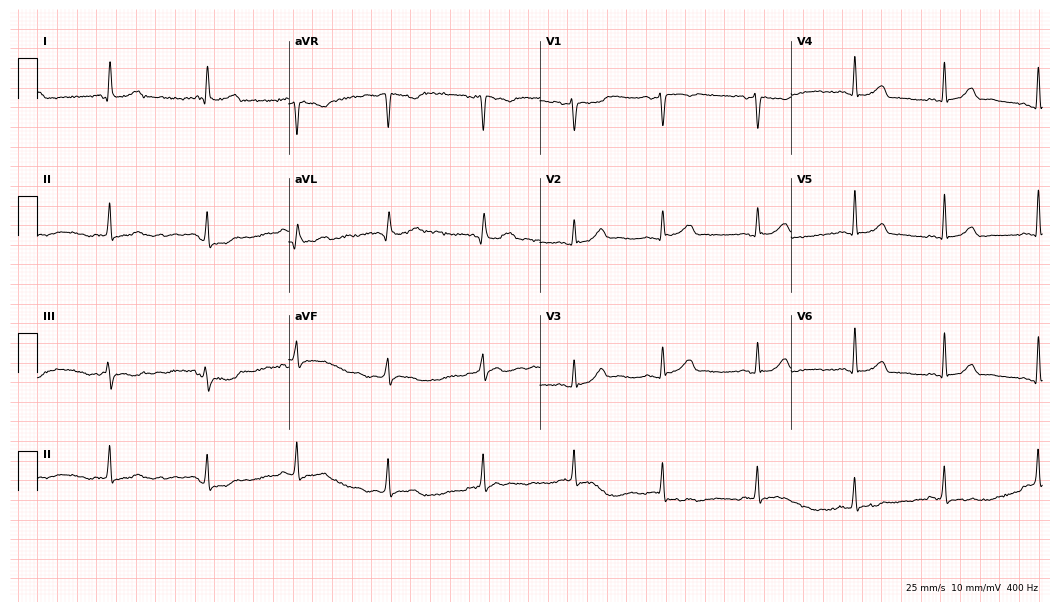
Standard 12-lead ECG recorded from a 36-year-old female patient. None of these six findings is recorded: first-degree AV block, right bundle branch block, left bundle branch block, sinus bradycardia, atrial fibrillation, sinus tachycardia.